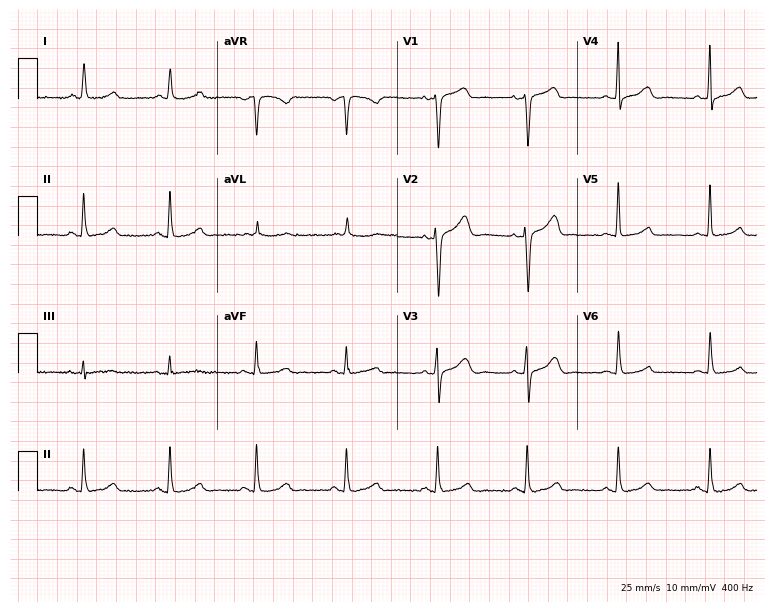
ECG (7.3-second recording at 400 Hz) — a 52-year-old female. Screened for six findings — first-degree AV block, right bundle branch block, left bundle branch block, sinus bradycardia, atrial fibrillation, sinus tachycardia — none is recorded. Only these six findings were labelled.